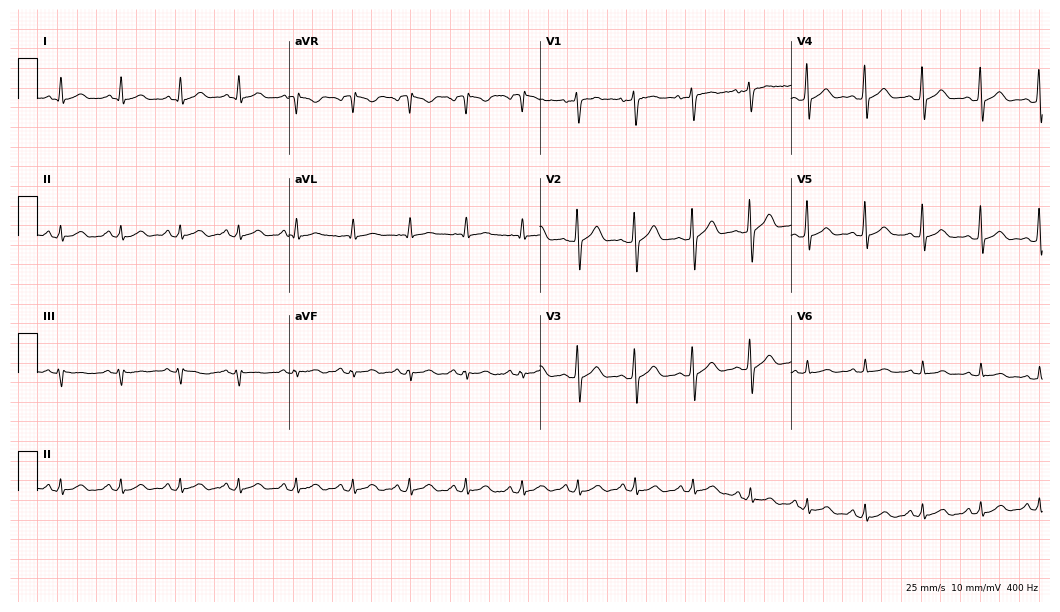
ECG — a 35-year-old male patient. Labelled as a normal ECG.